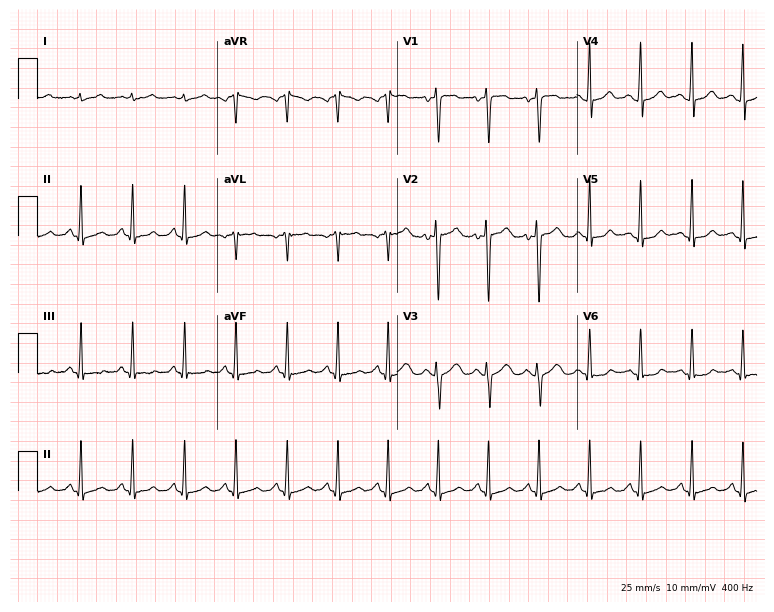
12-lead ECG from a female, 25 years old (7.3-second recording at 400 Hz). Shows sinus tachycardia (a sinus rate of 100 beats per minute or more).